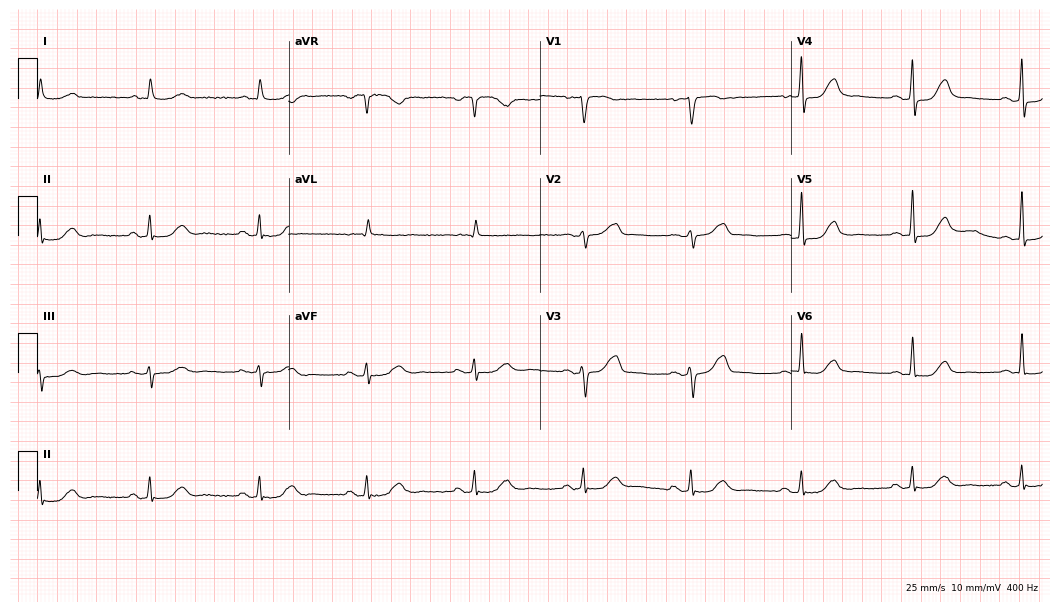
Standard 12-lead ECG recorded from an 84-year-old woman (10.2-second recording at 400 Hz). Read as a normal ECG.